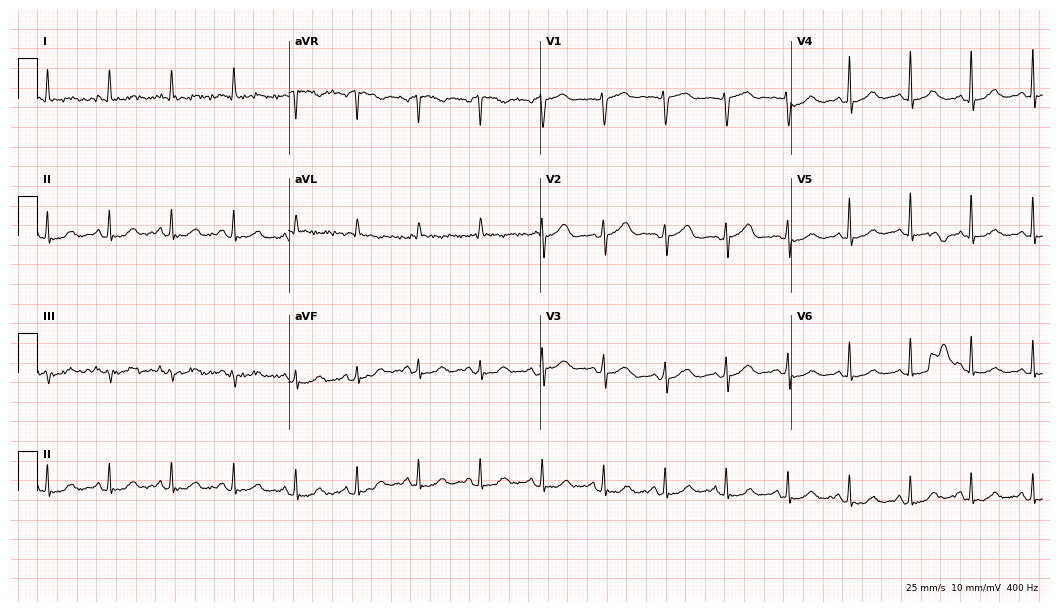
Standard 12-lead ECG recorded from an 80-year-old woman. Read as a normal ECG.